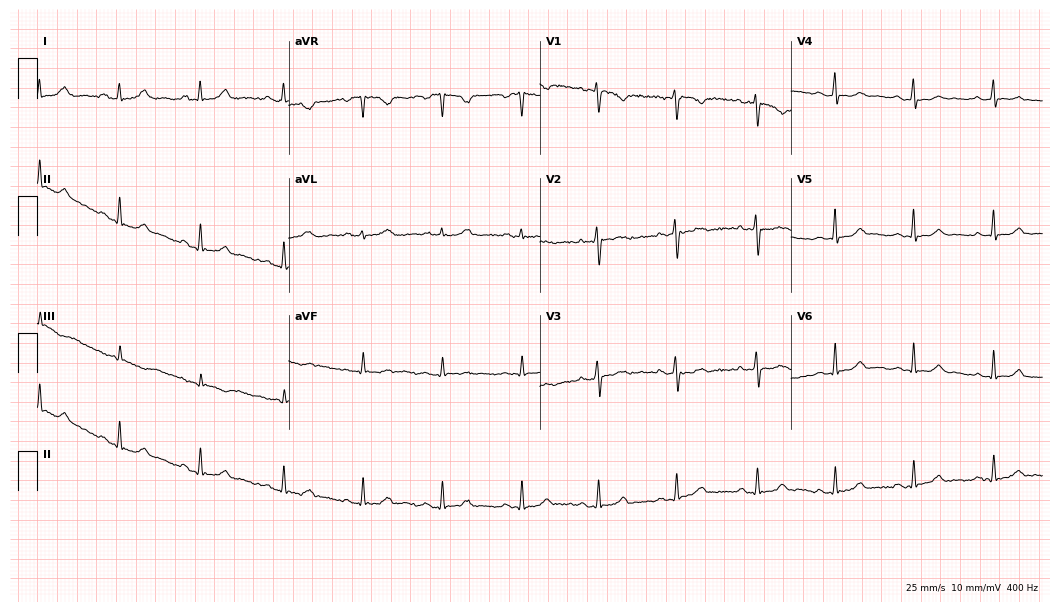
Resting 12-lead electrocardiogram. Patient: a 42-year-old woman. Read as a normal ECG.